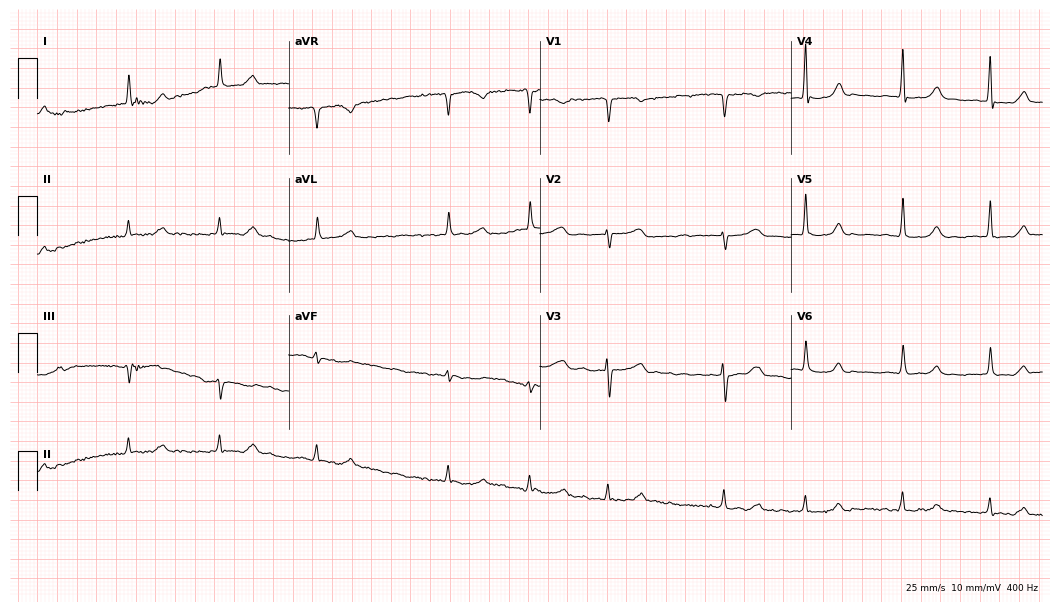
12-lead ECG from a 66-year-old female patient. Shows atrial fibrillation.